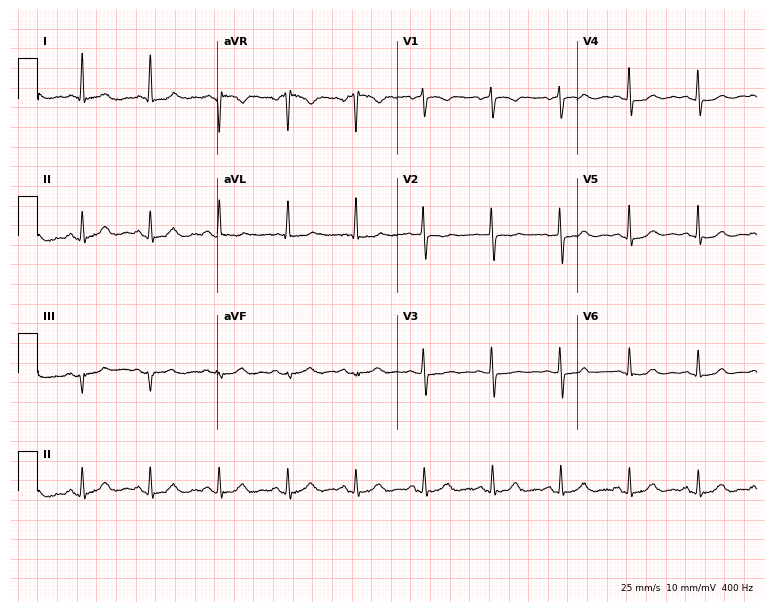
Resting 12-lead electrocardiogram (7.3-second recording at 400 Hz). Patient: a woman, 71 years old. None of these six findings is recorded: first-degree AV block, right bundle branch block (RBBB), left bundle branch block (LBBB), sinus bradycardia, atrial fibrillation (AF), sinus tachycardia.